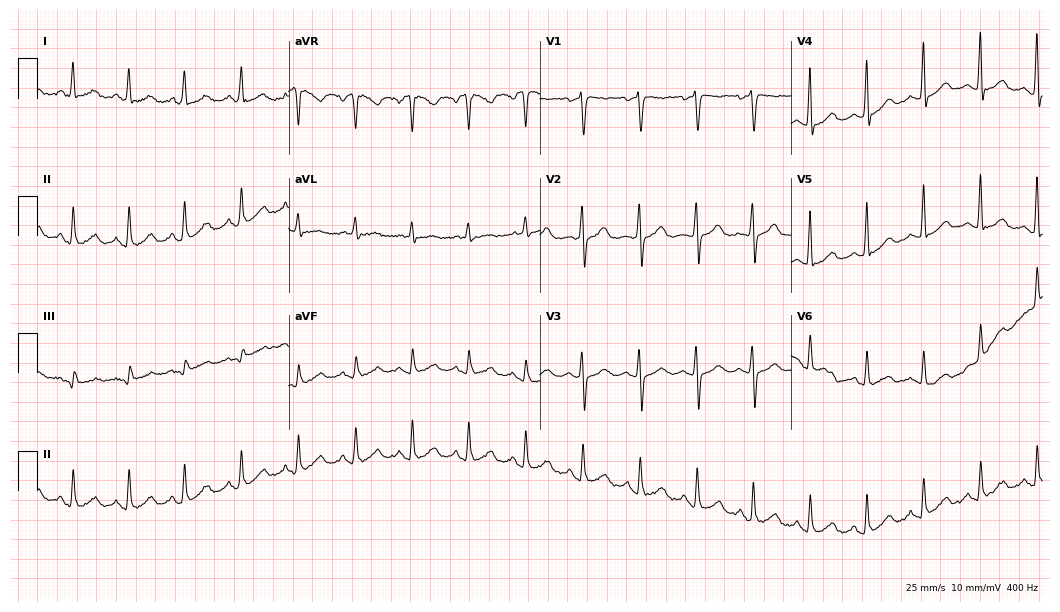
12-lead ECG from a woman, 61 years old (10.2-second recording at 400 Hz). Recorded interpretation: within normal limits.